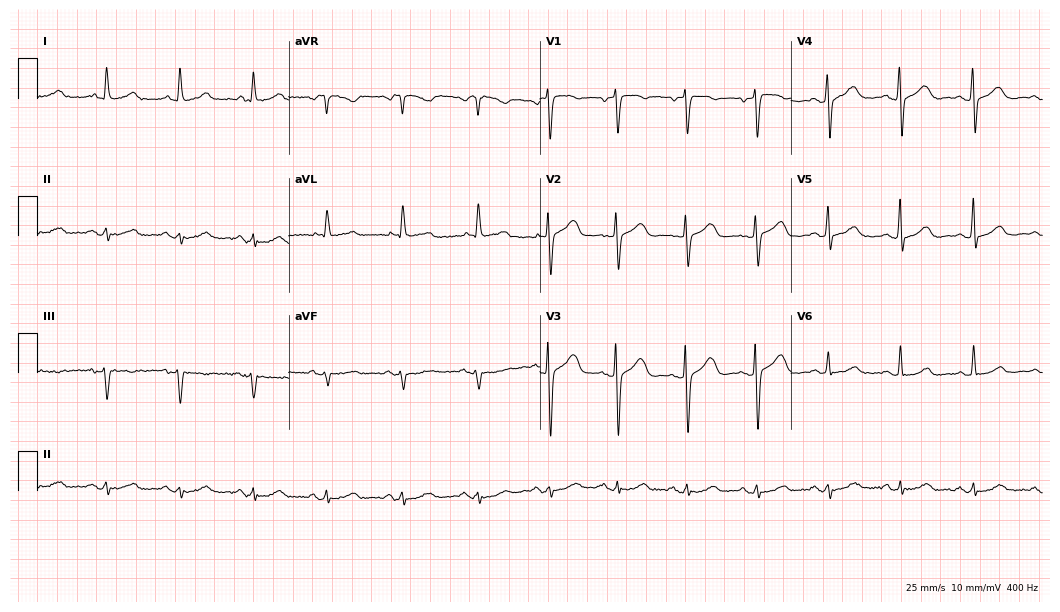
Standard 12-lead ECG recorded from a woman, 64 years old (10.2-second recording at 400 Hz). Read as a normal ECG.